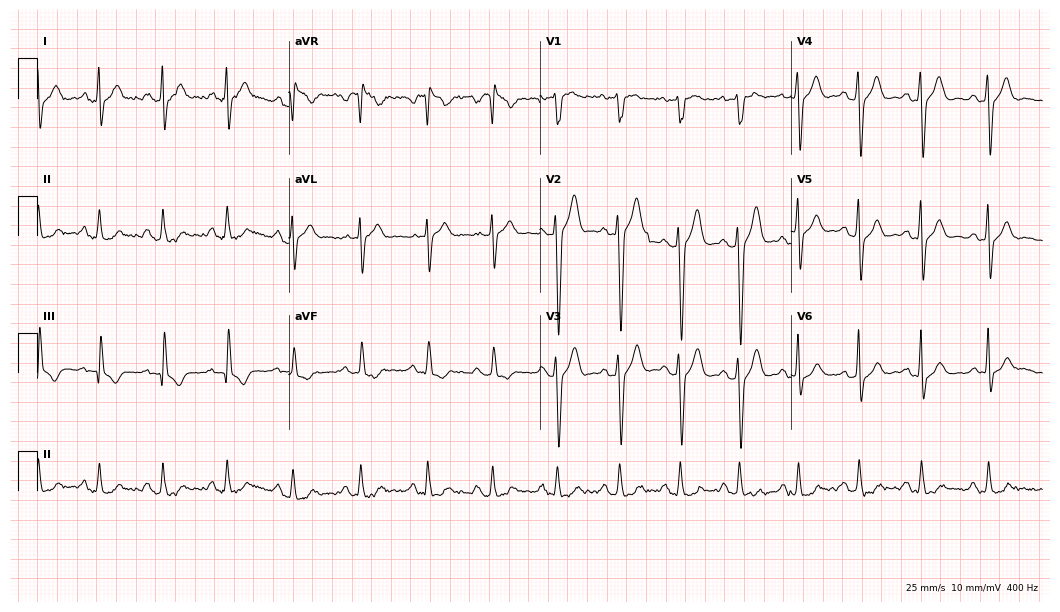
Resting 12-lead electrocardiogram (10.2-second recording at 400 Hz). Patient: a 42-year-old male. None of these six findings is recorded: first-degree AV block, right bundle branch block, left bundle branch block, sinus bradycardia, atrial fibrillation, sinus tachycardia.